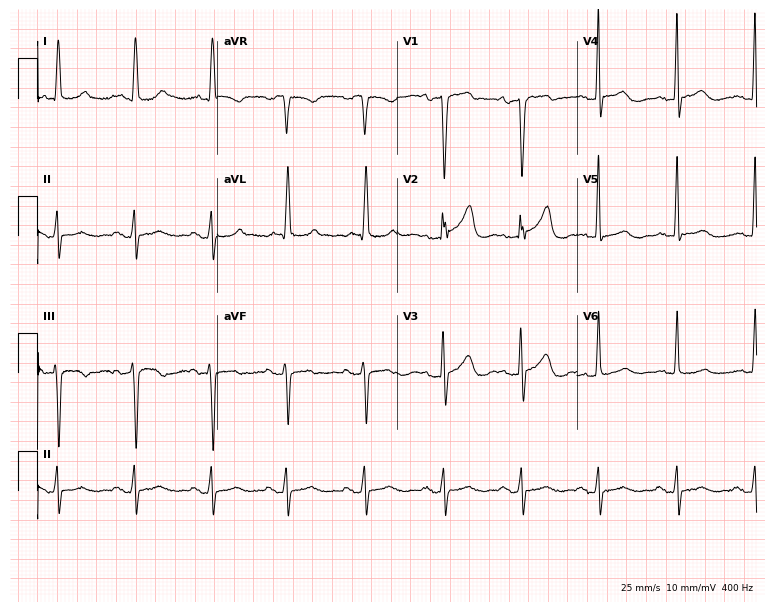
Resting 12-lead electrocardiogram. Patient: a 77-year-old female. None of these six findings is recorded: first-degree AV block, right bundle branch block, left bundle branch block, sinus bradycardia, atrial fibrillation, sinus tachycardia. Only these six findings were labelled.